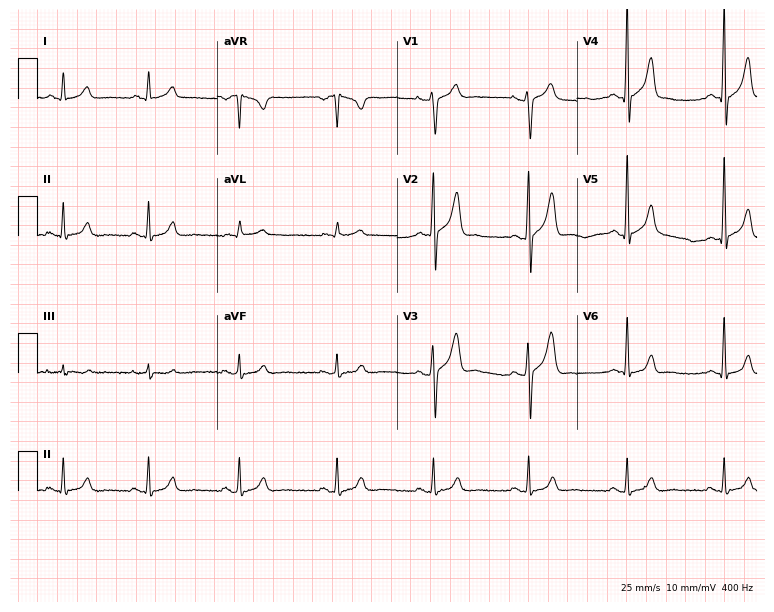
ECG (7.3-second recording at 400 Hz) — a 34-year-old man. Screened for six findings — first-degree AV block, right bundle branch block (RBBB), left bundle branch block (LBBB), sinus bradycardia, atrial fibrillation (AF), sinus tachycardia — none is recorded. Findings outside these six are not listed.